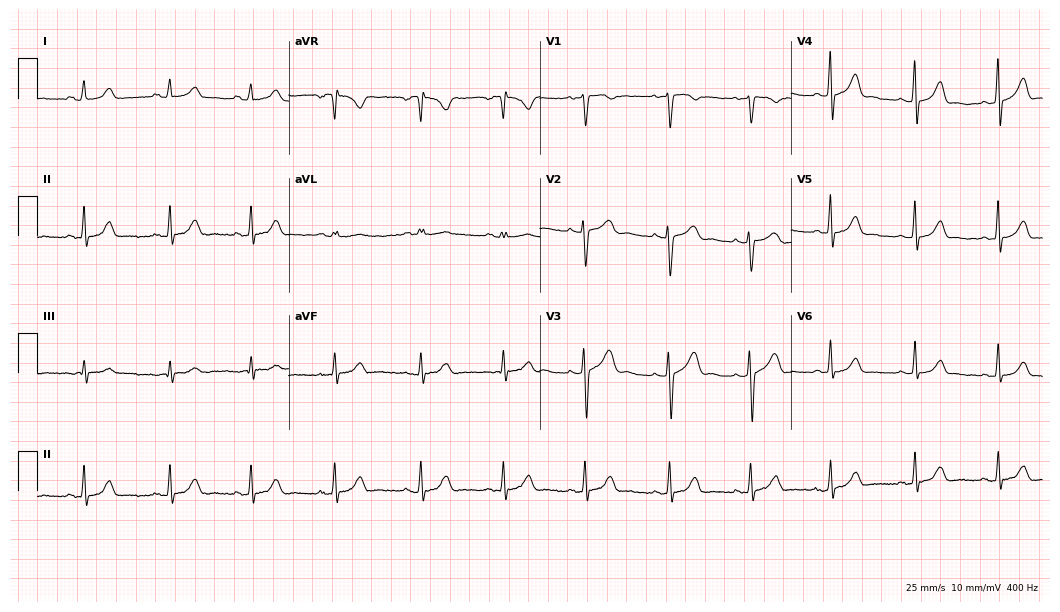
12-lead ECG from a 22-year-old female patient (10.2-second recording at 400 Hz). Recorded interpretation: within normal limits.